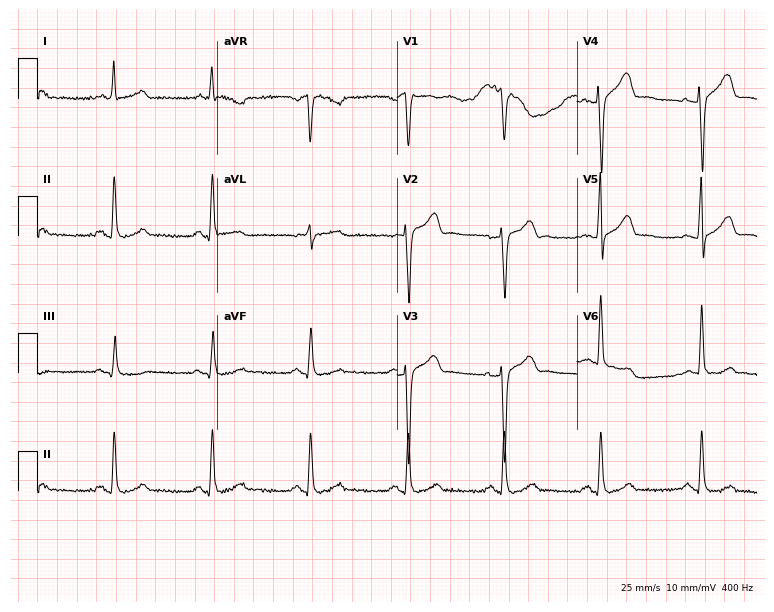
ECG (7.3-second recording at 400 Hz) — a man, 54 years old. Labelled as a normal ECG.